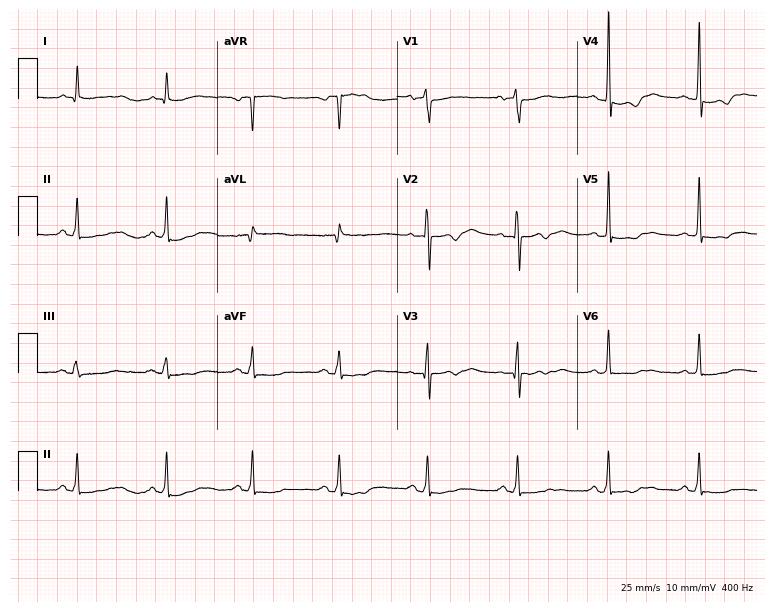
Resting 12-lead electrocardiogram (7.3-second recording at 400 Hz). Patient: a 61-year-old male. None of these six findings is recorded: first-degree AV block, right bundle branch block, left bundle branch block, sinus bradycardia, atrial fibrillation, sinus tachycardia.